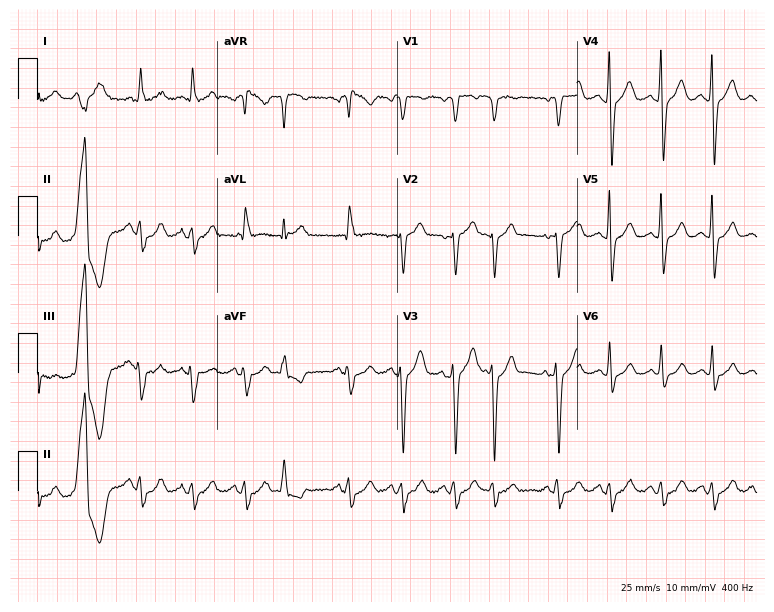
12-lead ECG from a male patient, 50 years old. No first-degree AV block, right bundle branch block (RBBB), left bundle branch block (LBBB), sinus bradycardia, atrial fibrillation (AF) or sinus tachycardia recorded for this tracing.